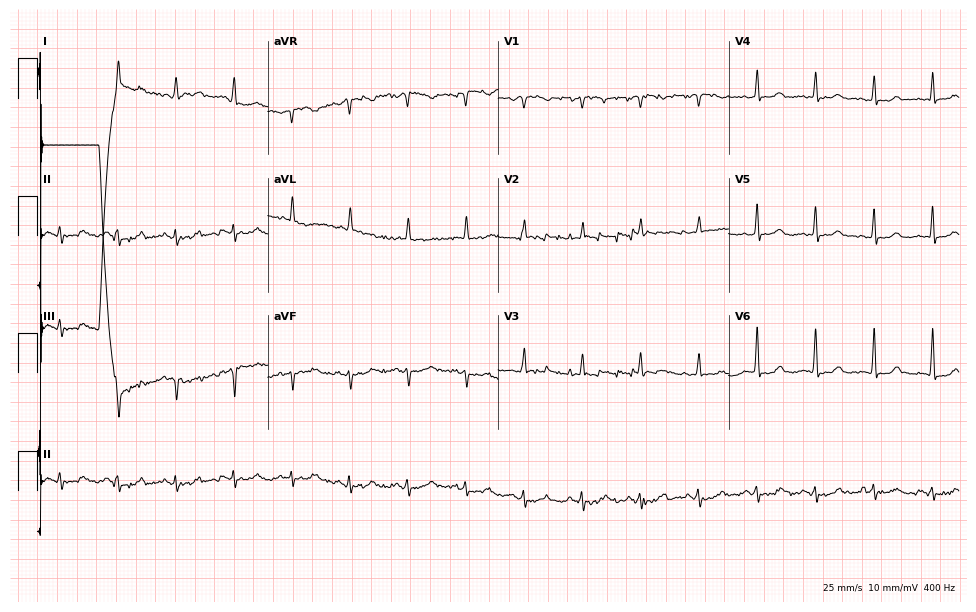
ECG — an 81-year-old female. Screened for six findings — first-degree AV block, right bundle branch block, left bundle branch block, sinus bradycardia, atrial fibrillation, sinus tachycardia — none is recorded. Findings outside these six are not listed.